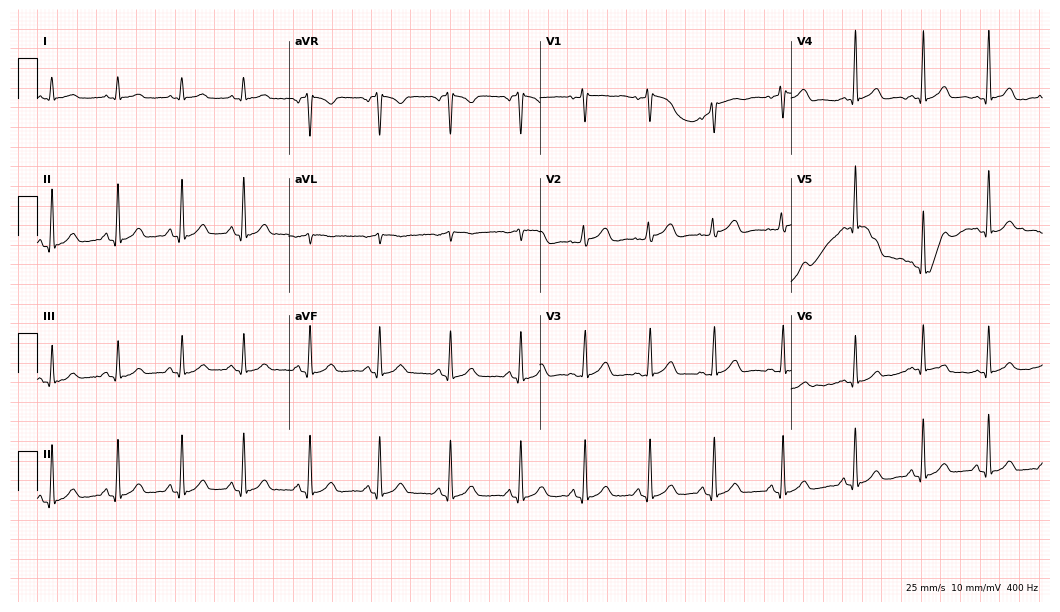
12-lead ECG from a female patient, 36 years old (10.2-second recording at 400 Hz). Recorded interpretation: within normal limits.